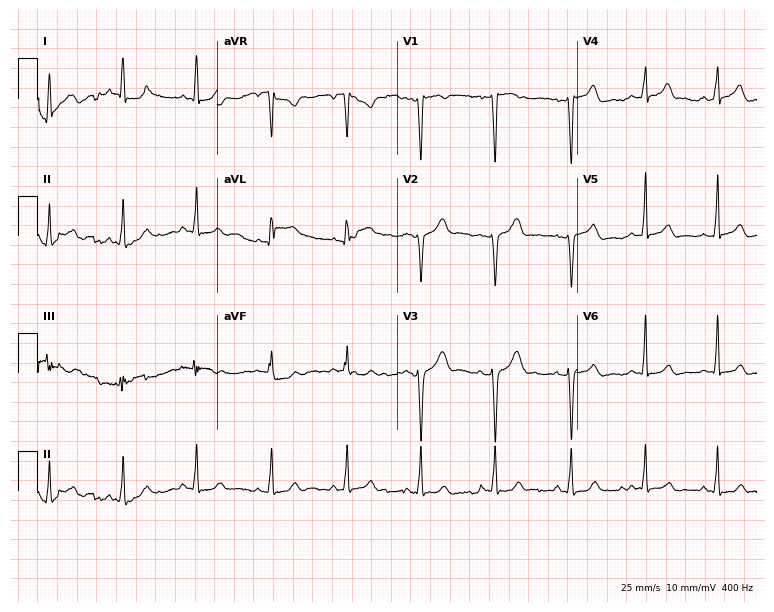
12-lead ECG from a female patient, 17 years old (7.3-second recording at 400 Hz). Recorded interpretation: within normal limits.